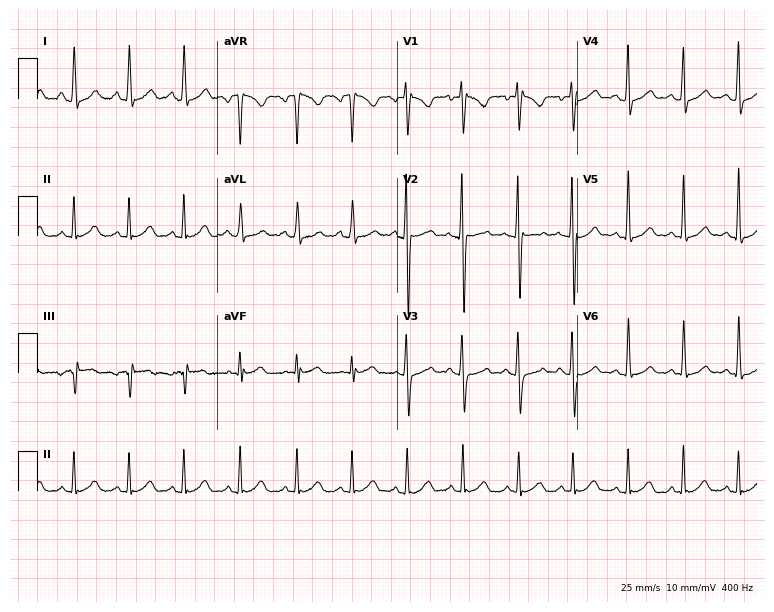
Electrocardiogram (7.3-second recording at 400 Hz), a female, 25 years old. Interpretation includes sinus tachycardia (a sinus rate of 100 beats per minute or more).